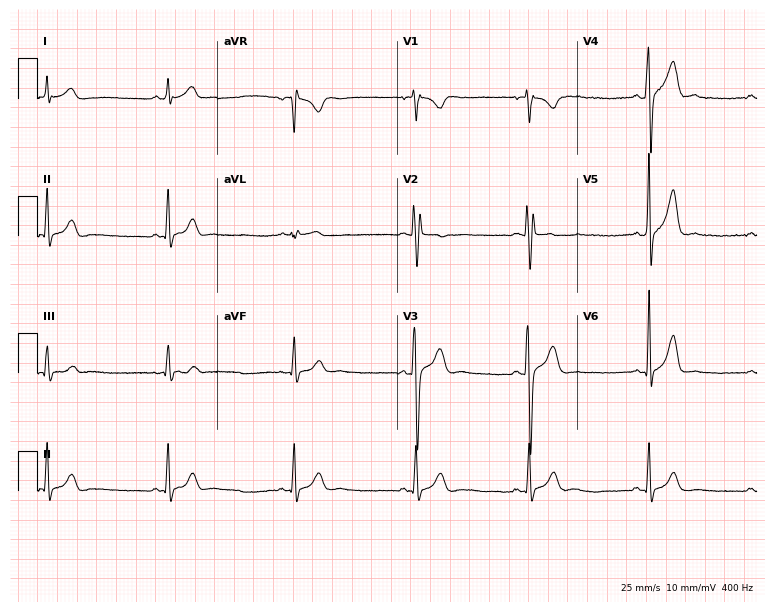
Resting 12-lead electrocardiogram (7.3-second recording at 400 Hz). Patient: a 22-year-old male. The tracing shows sinus bradycardia (a sinus rate of 50 beats per minute or less).